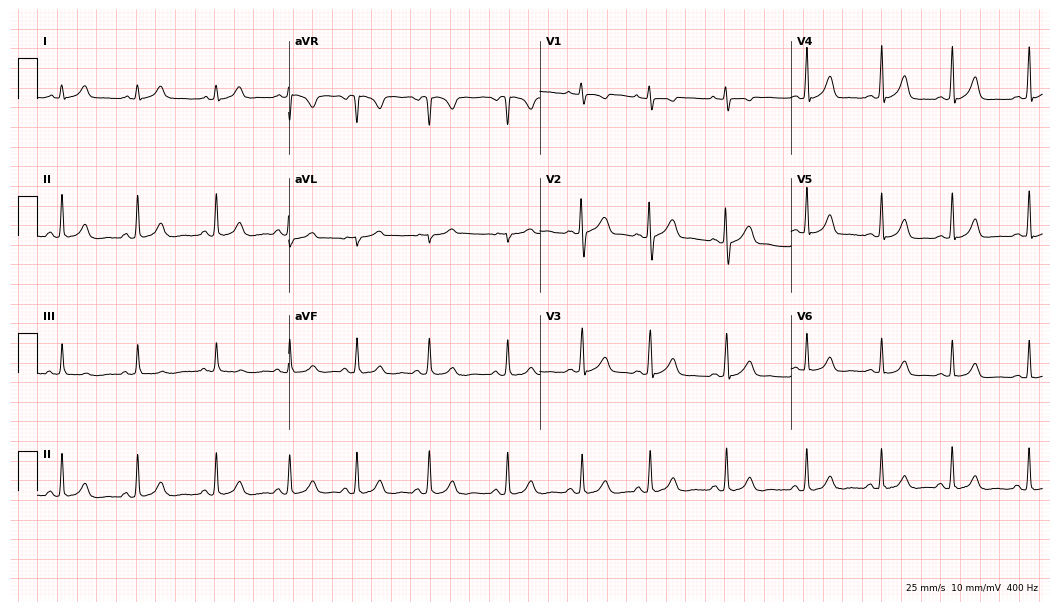
12-lead ECG from a female patient, 19 years old. Recorded interpretation: within normal limits.